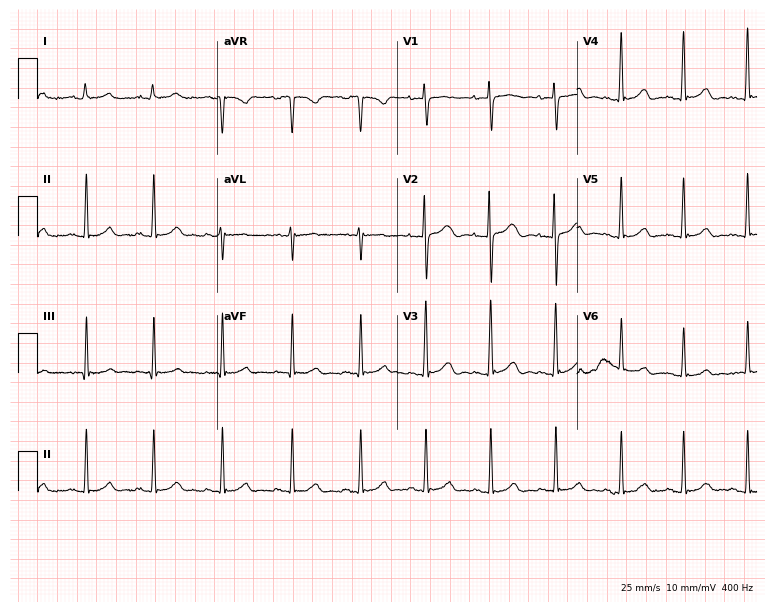
Standard 12-lead ECG recorded from a female patient, 19 years old (7.3-second recording at 400 Hz). None of these six findings is recorded: first-degree AV block, right bundle branch block (RBBB), left bundle branch block (LBBB), sinus bradycardia, atrial fibrillation (AF), sinus tachycardia. Only these six findings were labelled.